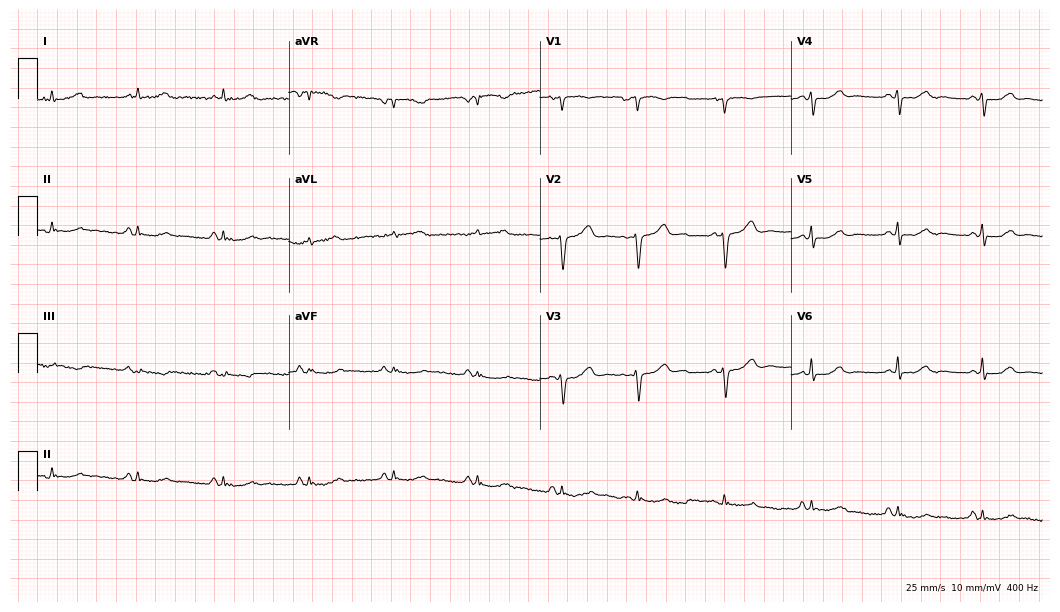
12-lead ECG from a male, 77 years old (10.2-second recording at 400 Hz). No first-degree AV block, right bundle branch block (RBBB), left bundle branch block (LBBB), sinus bradycardia, atrial fibrillation (AF) or sinus tachycardia recorded for this tracing.